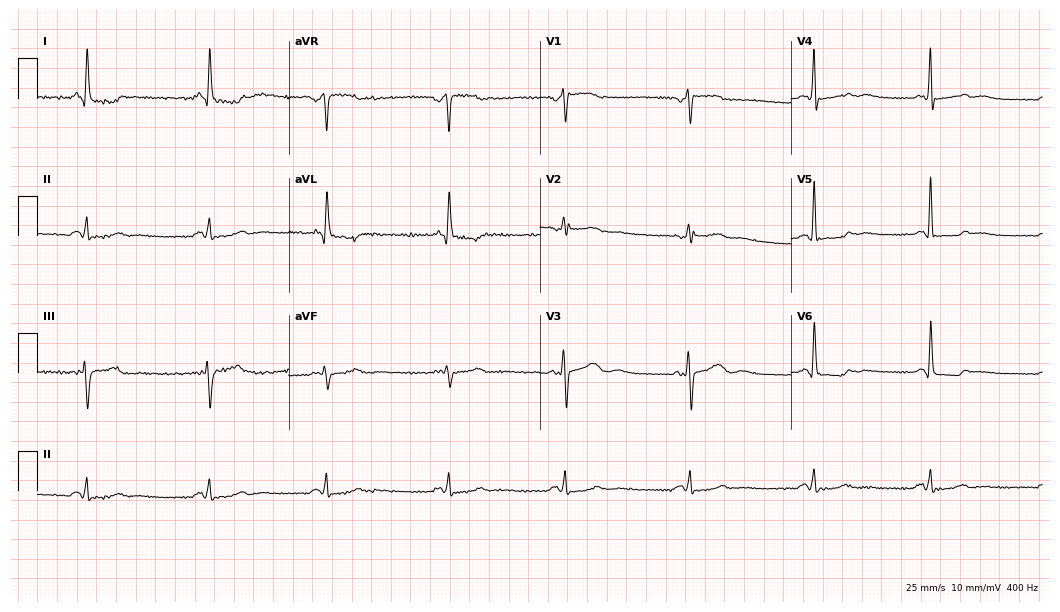
ECG — a female patient, 59 years old. Findings include right bundle branch block.